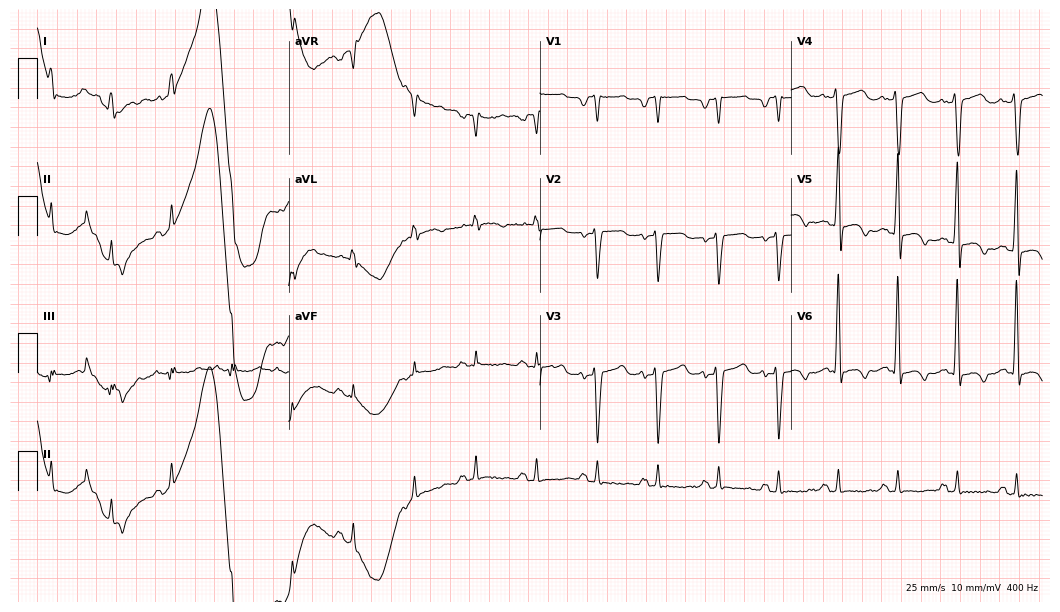
Resting 12-lead electrocardiogram (10.2-second recording at 400 Hz). Patient: a male, 46 years old. None of these six findings is recorded: first-degree AV block, right bundle branch block, left bundle branch block, sinus bradycardia, atrial fibrillation, sinus tachycardia.